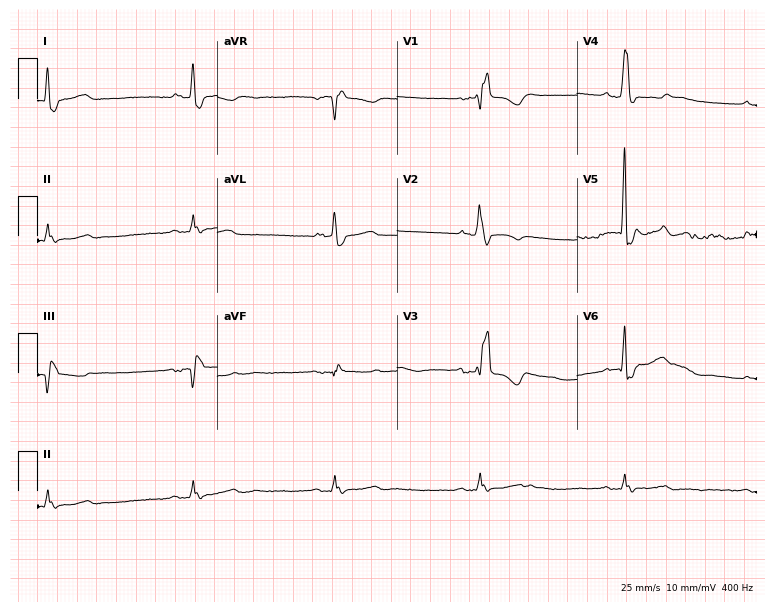
Standard 12-lead ECG recorded from a 63-year-old male. The tracing shows right bundle branch block.